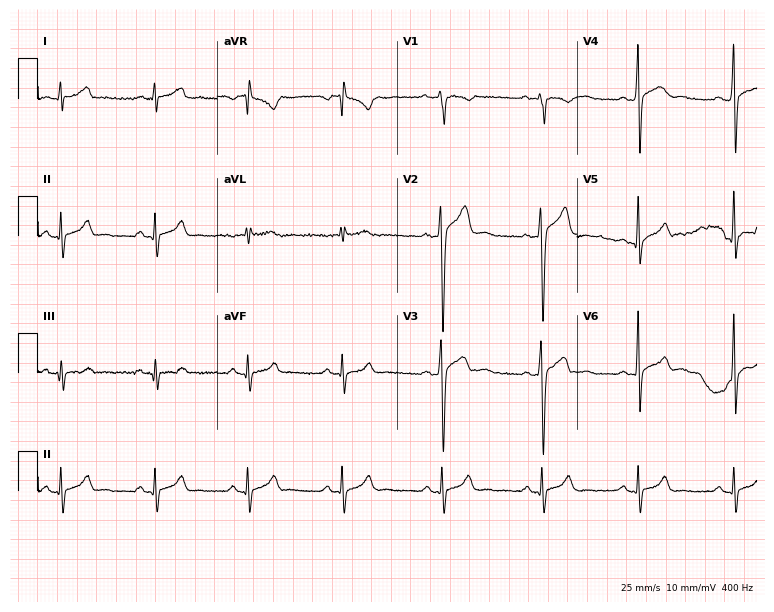
12-lead ECG from a 30-year-old male patient. Labelled as a normal ECG.